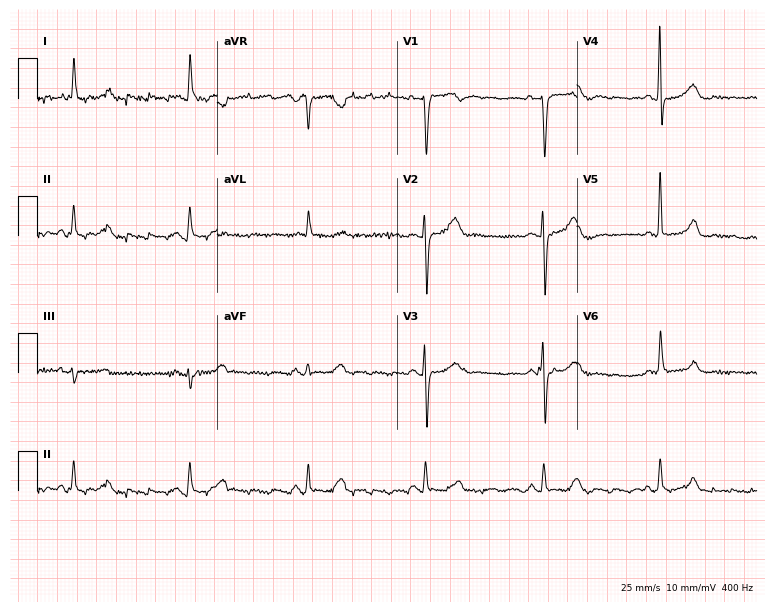
12-lead ECG from a female, 70 years old. Findings include sinus bradycardia (a sinus rate of 50 beats per minute or less).